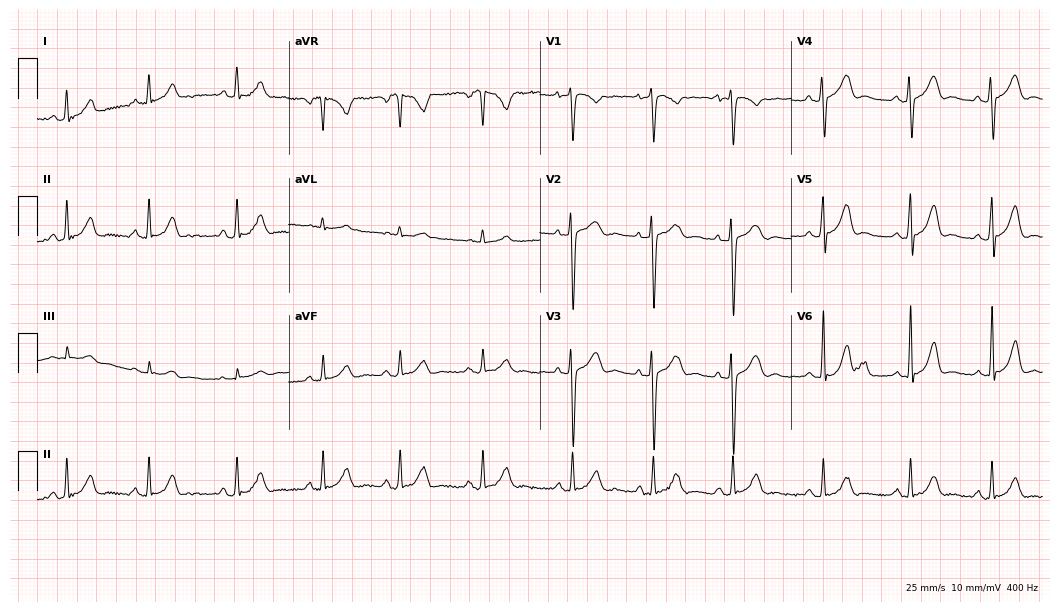
12-lead ECG from a female patient, 23 years old (10.2-second recording at 400 Hz). Recorded interpretation: within normal limits.